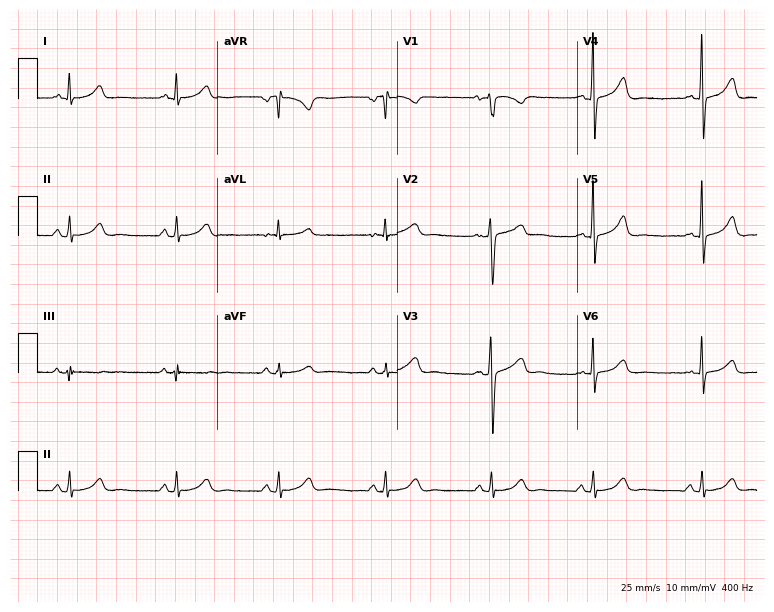
Resting 12-lead electrocardiogram (7.3-second recording at 400 Hz). Patient: a 38-year-old woman. None of these six findings is recorded: first-degree AV block, right bundle branch block, left bundle branch block, sinus bradycardia, atrial fibrillation, sinus tachycardia. Findings outside these six are not listed.